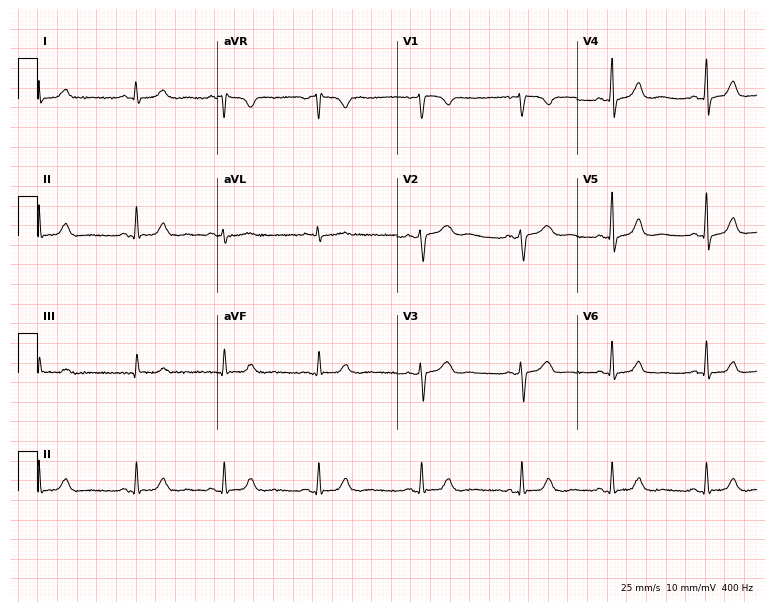
12-lead ECG from a 36-year-old woman. Recorded interpretation: within normal limits.